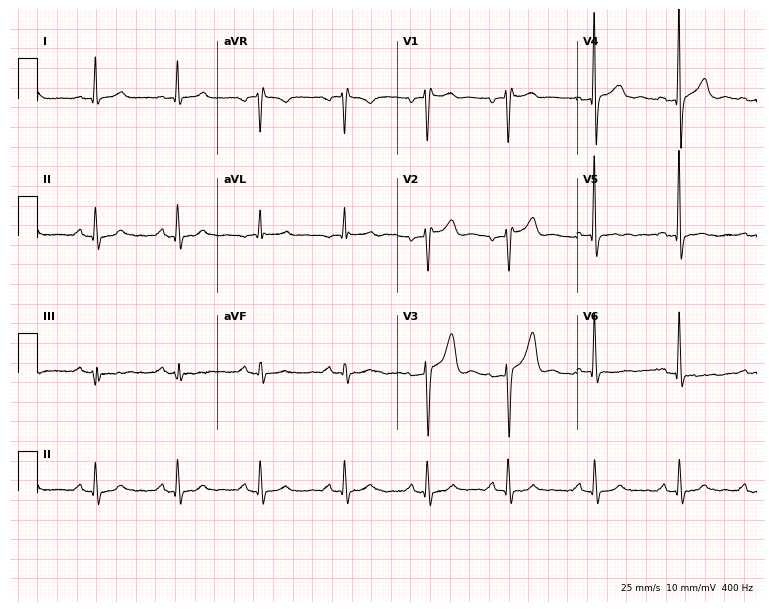
12-lead ECG from a 46-year-old man. Screened for six findings — first-degree AV block, right bundle branch block, left bundle branch block, sinus bradycardia, atrial fibrillation, sinus tachycardia — none is recorded. Findings outside these six are not listed.